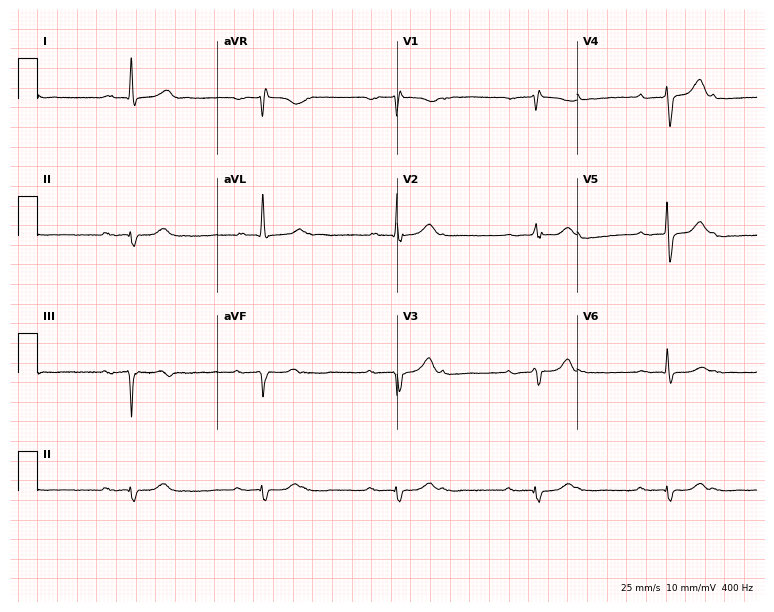
Electrocardiogram (7.3-second recording at 400 Hz), a male patient, 80 years old. Of the six screened findings (first-degree AV block, right bundle branch block, left bundle branch block, sinus bradycardia, atrial fibrillation, sinus tachycardia), none is recorded. Findings outside these six are not listed.